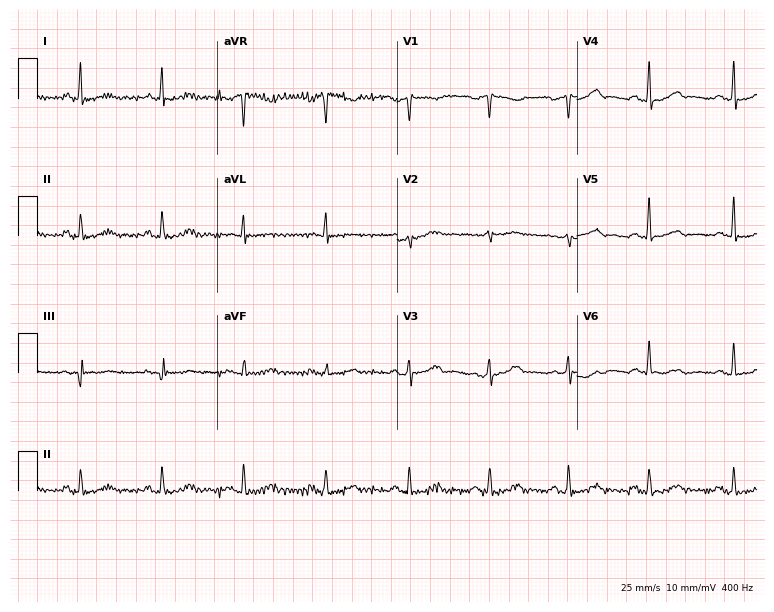
Electrocardiogram (7.3-second recording at 400 Hz), a female patient, 60 years old. Overall reading on record: normal ECG.